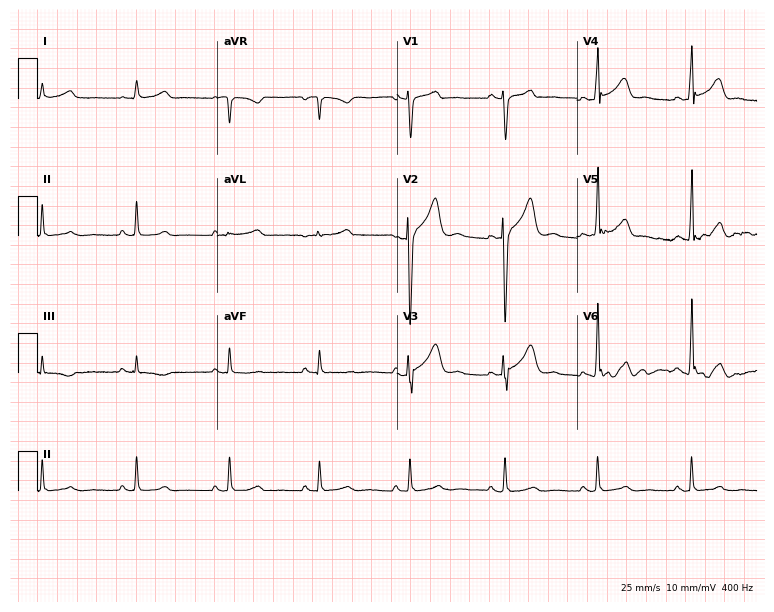
12-lead ECG (7.3-second recording at 400 Hz) from a male patient, 26 years old. Screened for six findings — first-degree AV block, right bundle branch block, left bundle branch block, sinus bradycardia, atrial fibrillation, sinus tachycardia — none is recorded. Other findings, if any, are not listed.